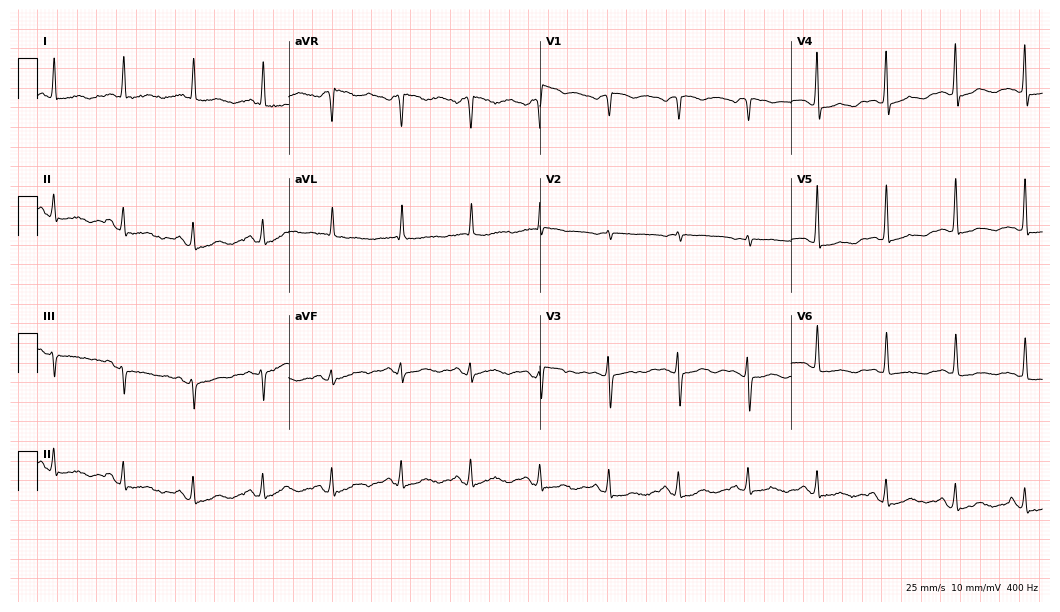
12-lead ECG from a female, 72 years old. Screened for six findings — first-degree AV block, right bundle branch block, left bundle branch block, sinus bradycardia, atrial fibrillation, sinus tachycardia — none is recorded. Only these six findings were labelled.